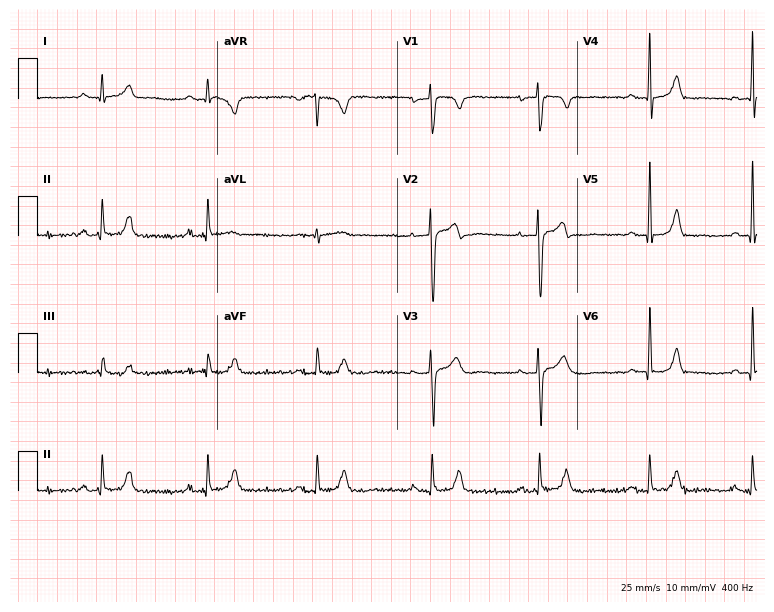
Resting 12-lead electrocardiogram (7.3-second recording at 400 Hz). Patient: a 36-year-old male. Read as a normal ECG.